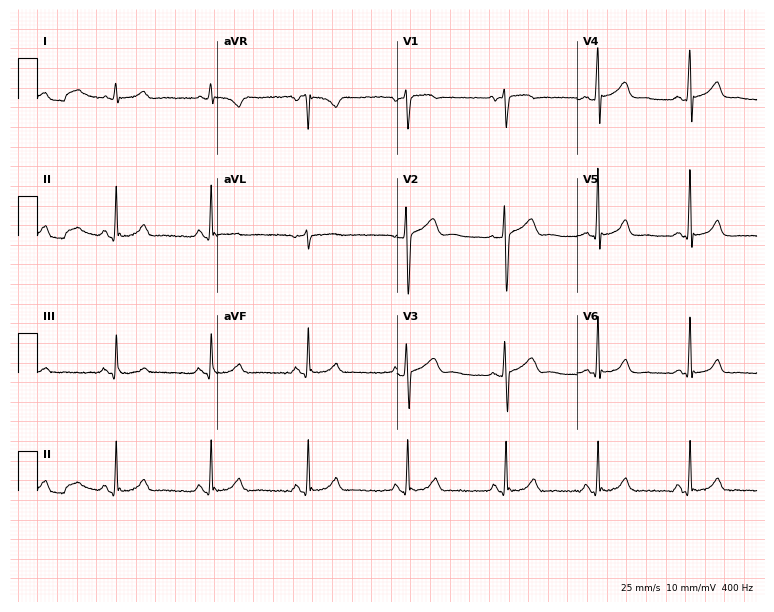
12-lead ECG (7.3-second recording at 400 Hz) from a 58-year-old man. Labelled as a normal ECG.